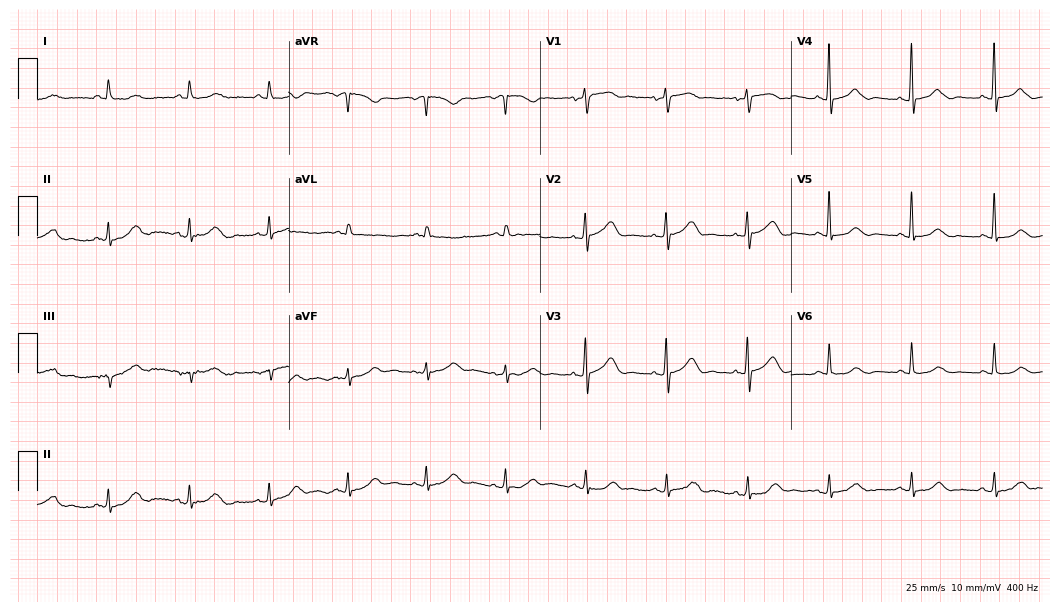
12-lead ECG from a 79-year-old female patient. Labelled as a normal ECG.